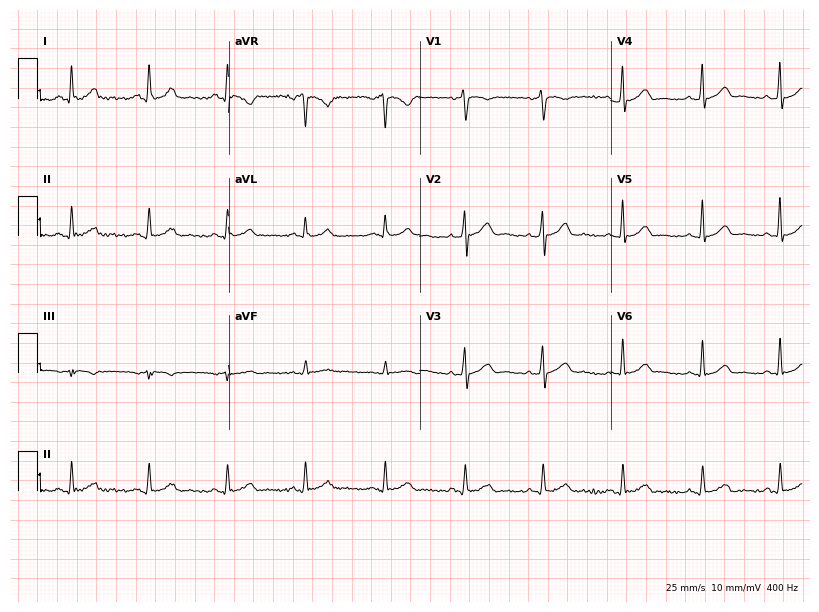
Resting 12-lead electrocardiogram. Patient: a male, 35 years old. Read as a normal ECG.